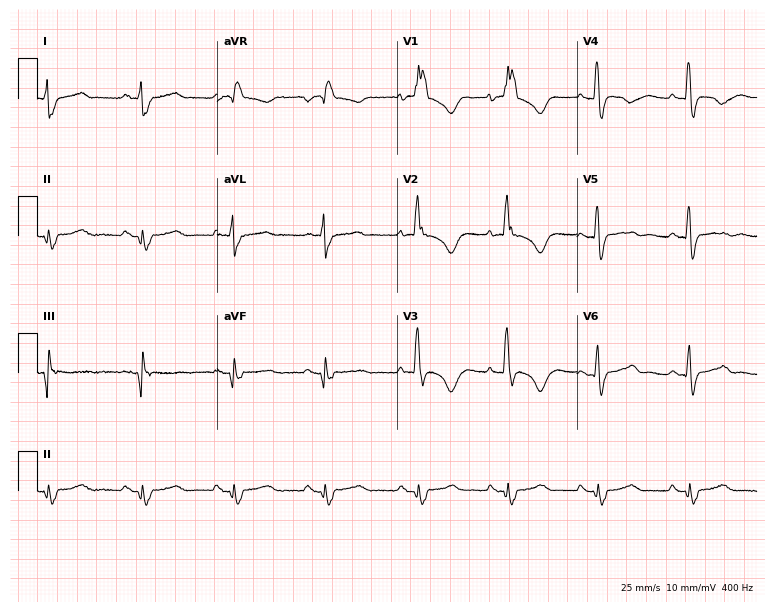
12-lead ECG (7.3-second recording at 400 Hz) from a female patient, 46 years old. Findings include right bundle branch block.